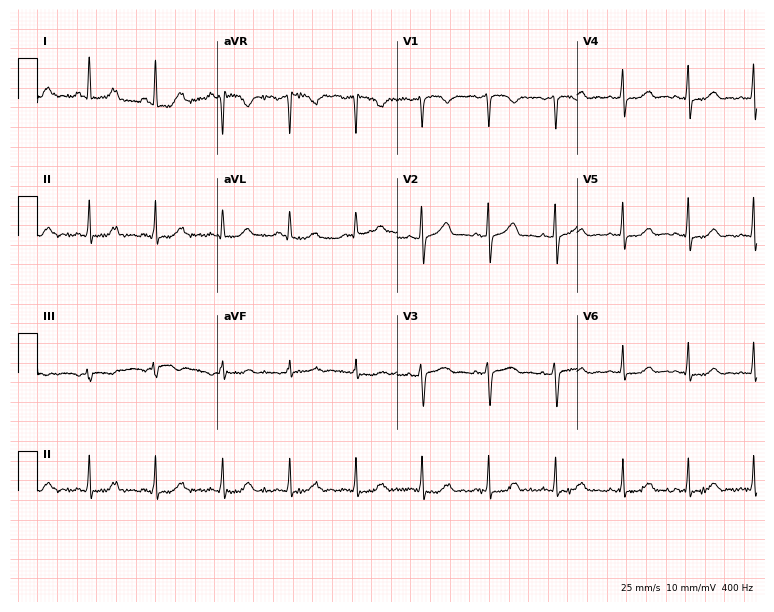
12-lead ECG from a 44-year-old woman. No first-degree AV block, right bundle branch block, left bundle branch block, sinus bradycardia, atrial fibrillation or sinus tachycardia recorded for this tracing.